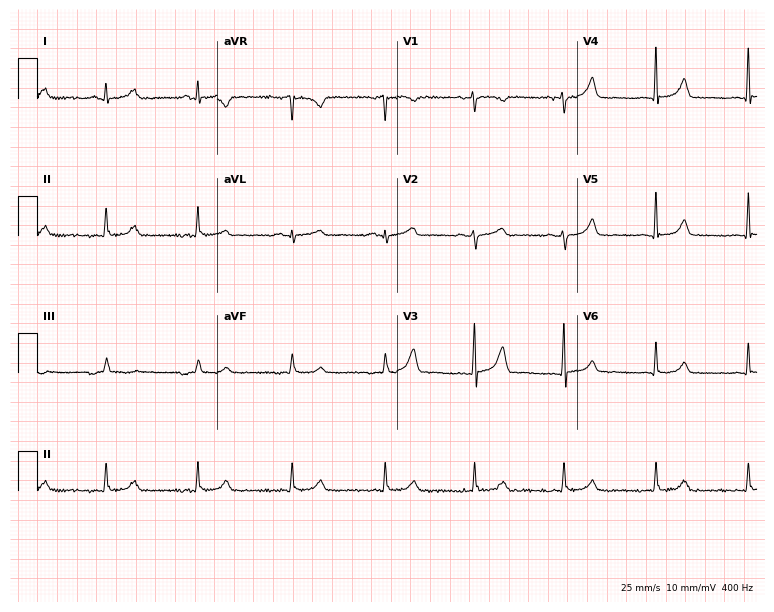
12-lead ECG (7.3-second recording at 400 Hz) from a 56-year-old female patient. Screened for six findings — first-degree AV block, right bundle branch block (RBBB), left bundle branch block (LBBB), sinus bradycardia, atrial fibrillation (AF), sinus tachycardia — none is recorded. Findings outside these six are not listed.